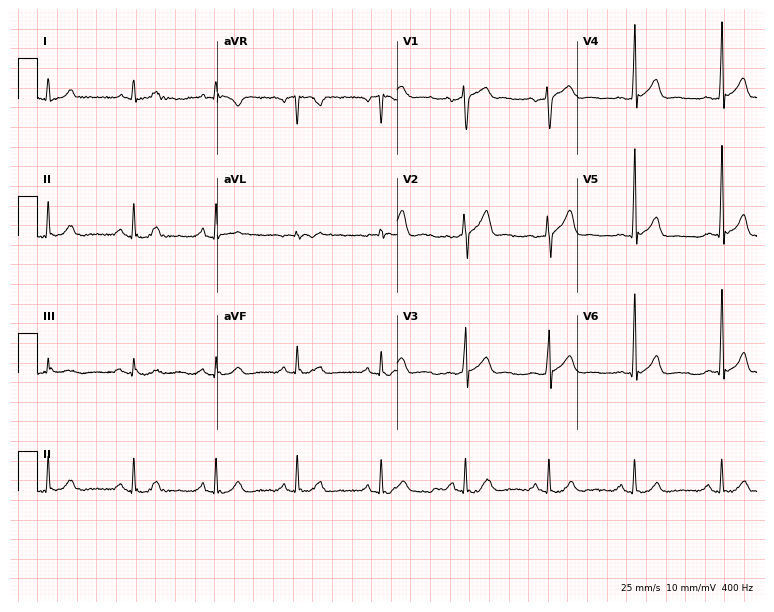
ECG (7.3-second recording at 400 Hz) — a man, 37 years old. Labelled as a normal ECG.